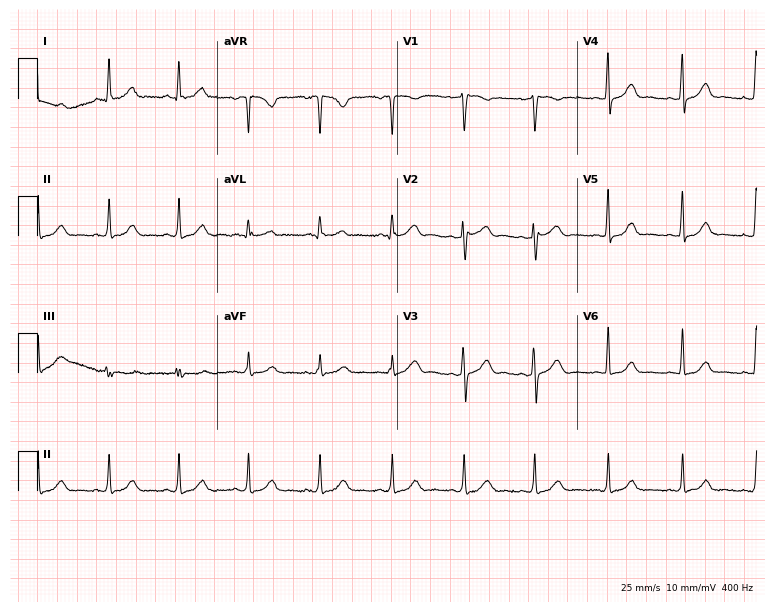
12-lead ECG (7.3-second recording at 400 Hz) from a 49-year-old female. Labelled as a normal ECG.